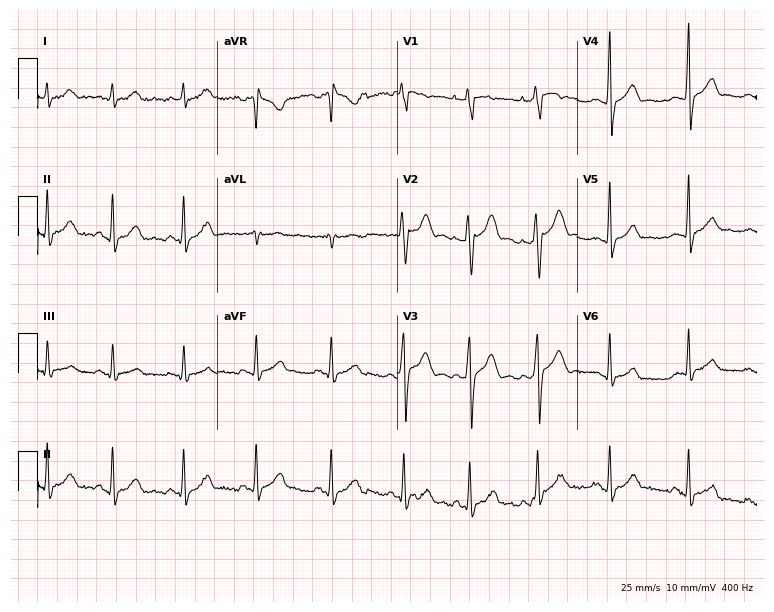
12-lead ECG from a male, 19 years old. Labelled as a normal ECG.